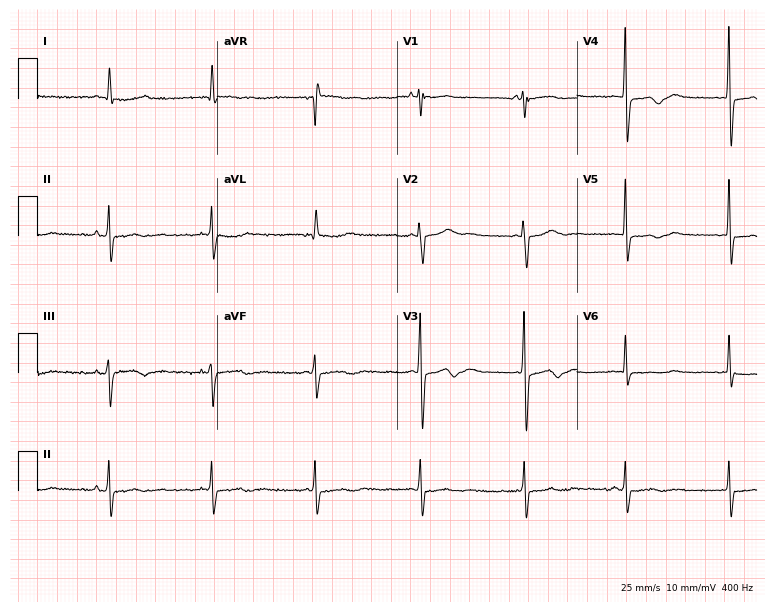
12-lead ECG from a 78-year-old female patient. Screened for six findings — first-degree AV block, right bundle branch block, left bundle branch block, sinus bradycardia, atrial fibrillation, sinus tachycardia — none is recorded. Findings outside these six are not listed.